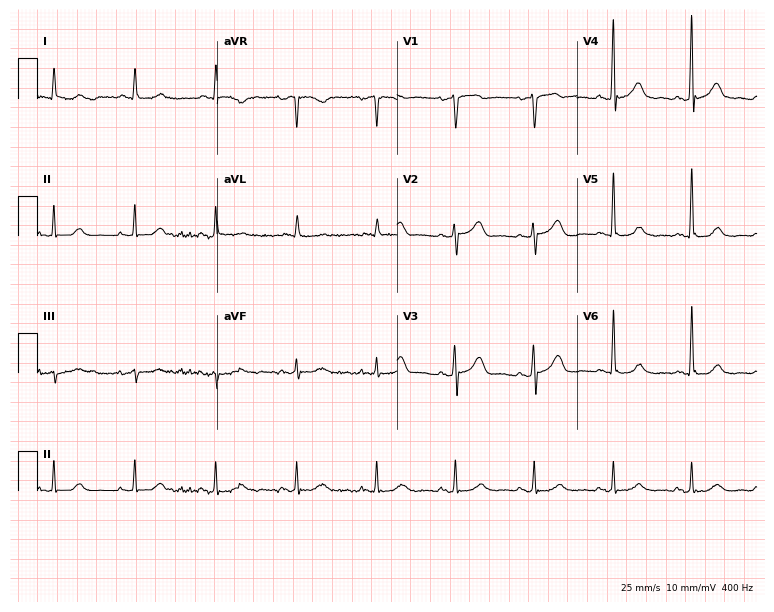
Standard 12-lead ECG recorded from a male, 74 years old (7.3-second recording at 400 Hz). Read as a normal ECG.